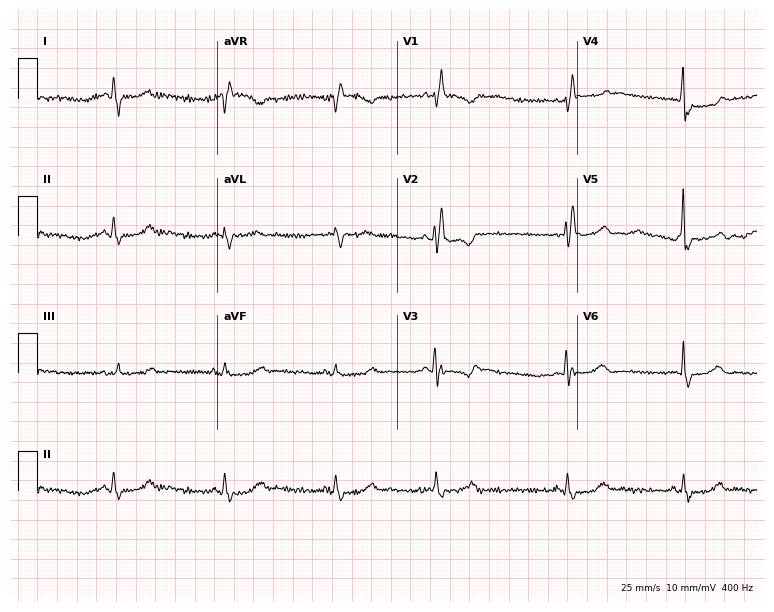
Resting 12-lead electrocardiogram. Patient: a 61-year-old female. The tracing shows right bundle branch block (RBBB).